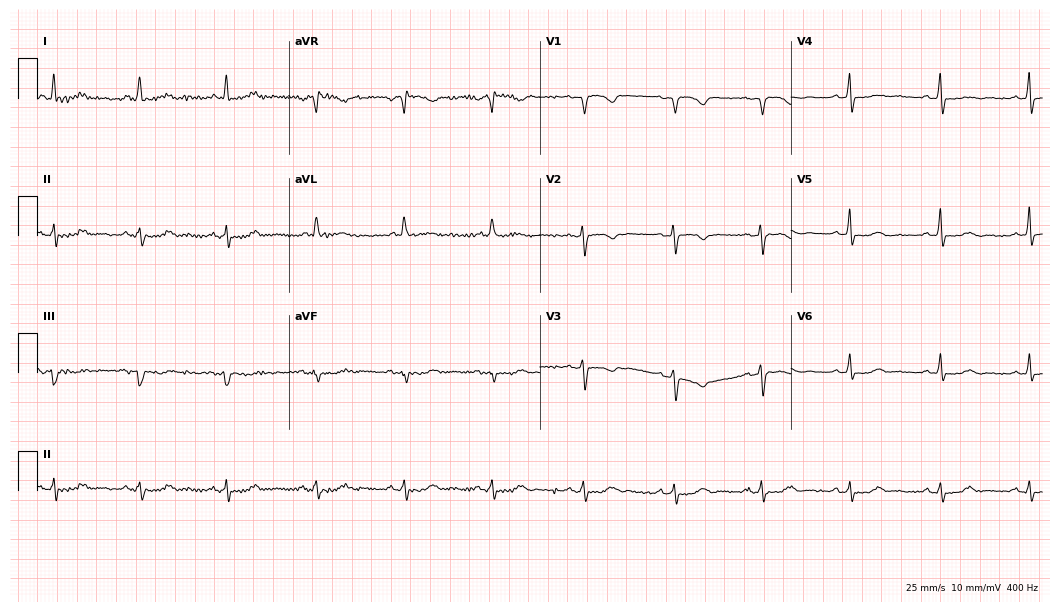
Standard 12-lead ECG recorded from a 70-year-old woman. None of these six findings is recorded: first-degree AV block, right bundle branch block, left bundle branch block, sinus bradycardia, atrial fibrillation, sinus tachycardia. Only these six findings were labelled.